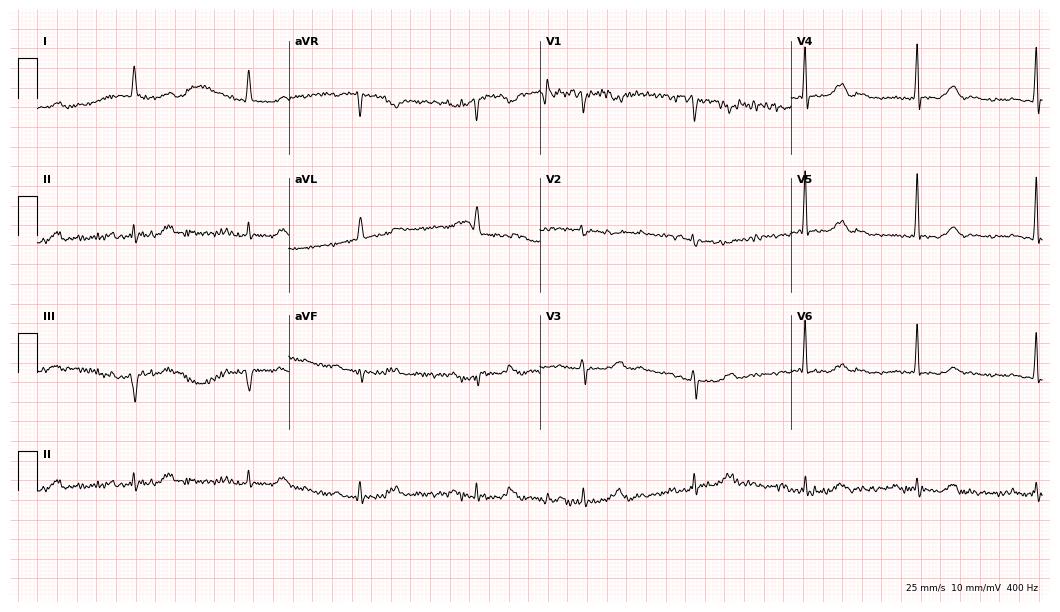
Standard 12-lead ECG recorded from a 77-year-old female. None of these six findings is recorded: first-degree AV block, right bundle branch block (RBBB), left bundle branch block (LBBB), sinus bradycardia, atrial fibrillation (AF), sinus tachycardia. Findings outside these six are not listed.